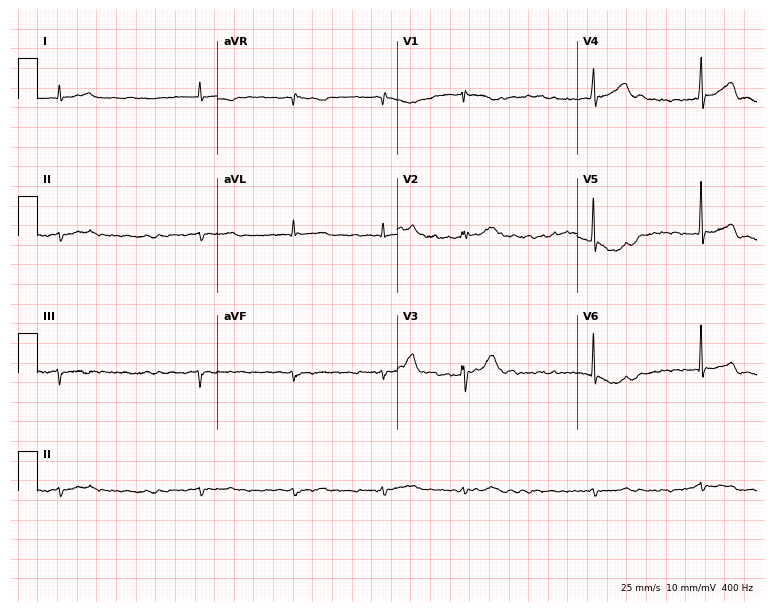
12-lead ECG from a male patient, 66 years old (7.3-second recording at 400 Hz). Shows atrial fibrillation (AF).